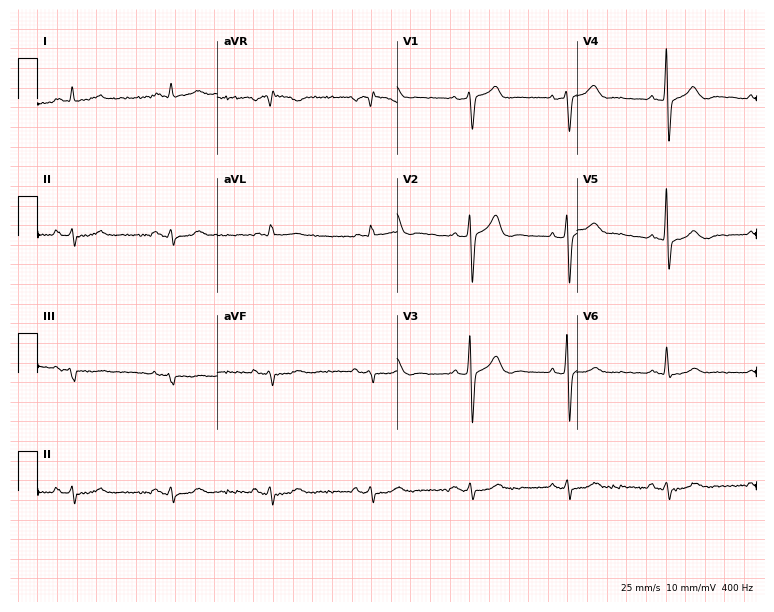
12-lead ECG from a male, 83 years old. Screened for six findings — first-degree AV block, right bundle branch block, left bundle branch block, sinus bradycardia, atrial fibrillation, sinus tachycardia — none is recorded.